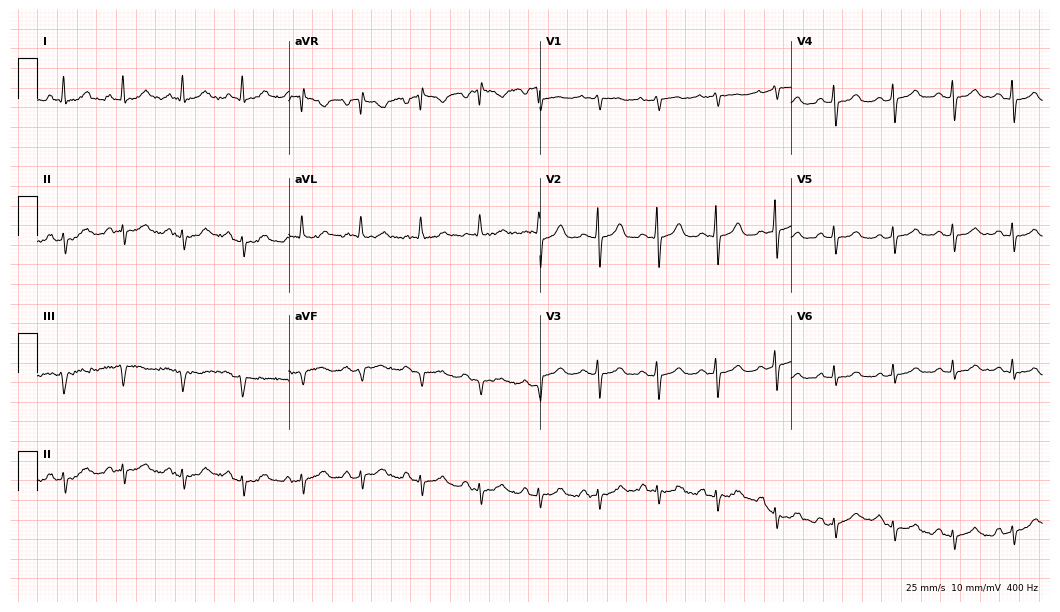
Electrocardiogram (10.2-second recording at 400 Hz), an 85-year-old man. Of the six screened findings (first-degree AV block, right bundle branch block (RBBB), left bundle branch block (LBBB), sinus bradycardia, atrial fibrillation (AF), sinus tachycardia), none is recorded.